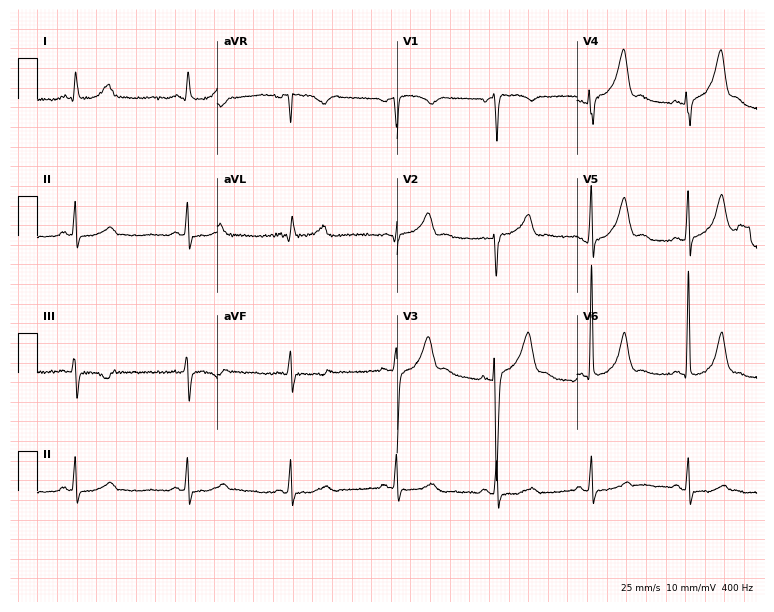
12-lead ECG from a 71-year-old man (7.3-second recording at 400 Hz). No first-degree AV block, right bundle branch block, left bundle branch block, sinus bradycardia, atrial fibrillation or sinus tachycardia recorded for this tracing. Findings outside these six are not listed.